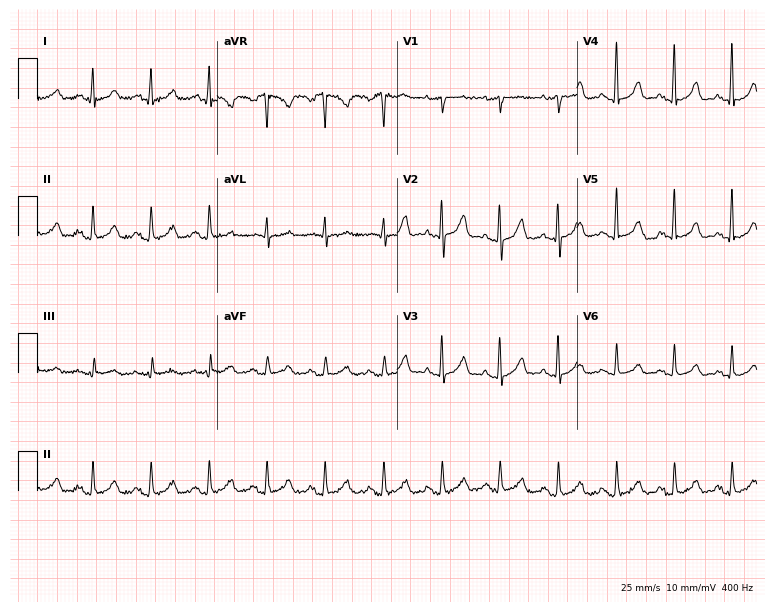
ECG — a 57-year-old woman. Screened for six findings — first-degree AV block, right bundle branch block (RBBB), left bundle branch block (LBBB), sinus bradycardia, atrial fibrillation (AF), sinus tachycardia — none is recorded.